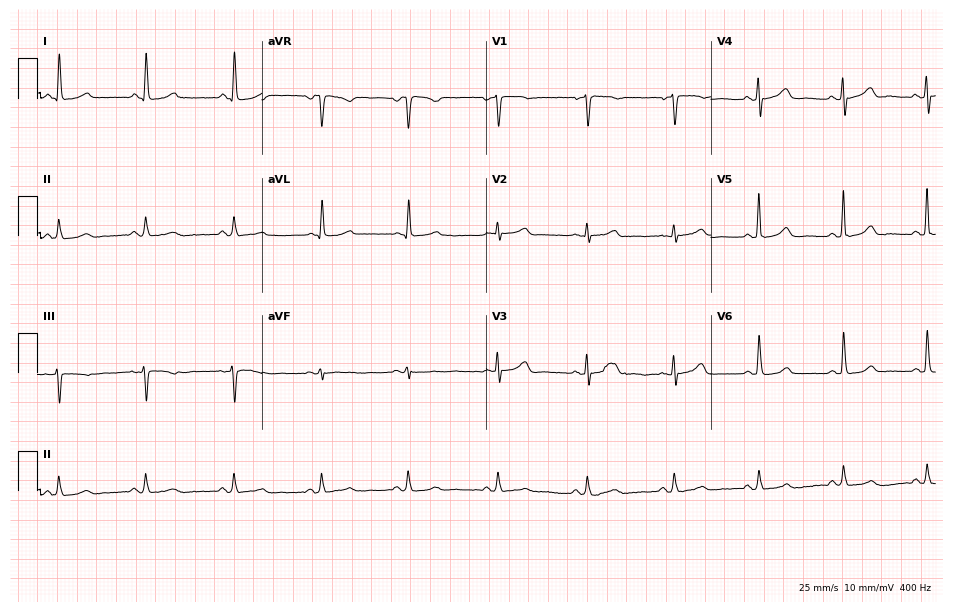
Resting 12-lead electrocardiogram (9.2-second recording at 400 Hz). Patient: a woman, 65 years old. None of these six findings is recorded: first-degree AV block, right bundle branch block, left bundle branch block, sinus bradycardia, atrial fibrillation, sinus tachycardia. Only these six findings were labelled.